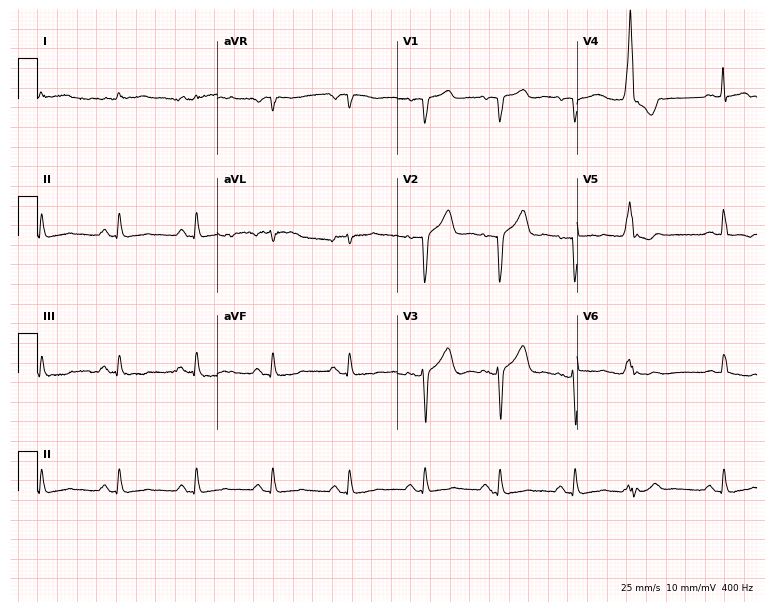
Resting 12-lead electrocardiogram (7.3-second recording at 400 Hz). Patient: a man, 72 years old. None of these six findings is recorded: first-degree AV block, right bundle branch block, left bundle branch block, sinus bradycardia, atrial fibrillation, sinus tachycardia.